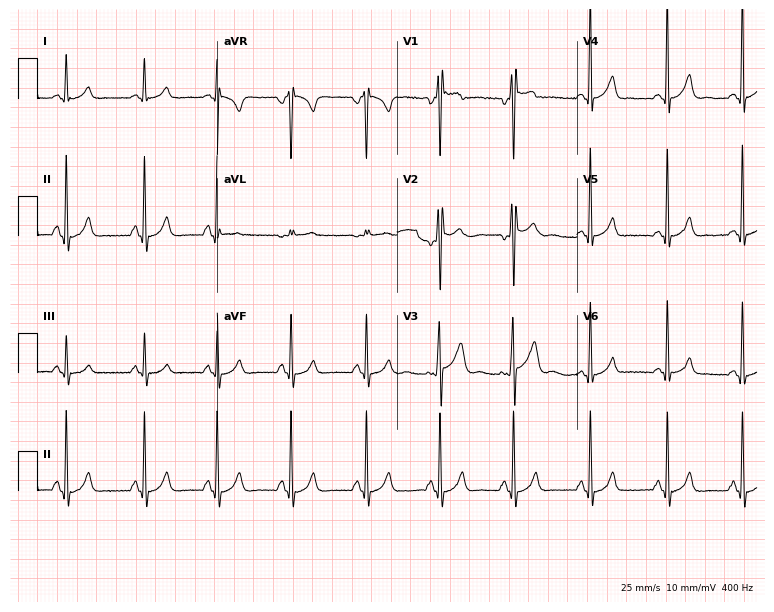
Resting 12-lead electrocardiogram. Patient: a 20-year-old male. None of these six findings is recorded: first-degree AV block, right bundle branch block, left bundle branch block, sinus bradycardia, atrial fibrillation, sinus tachycardia.